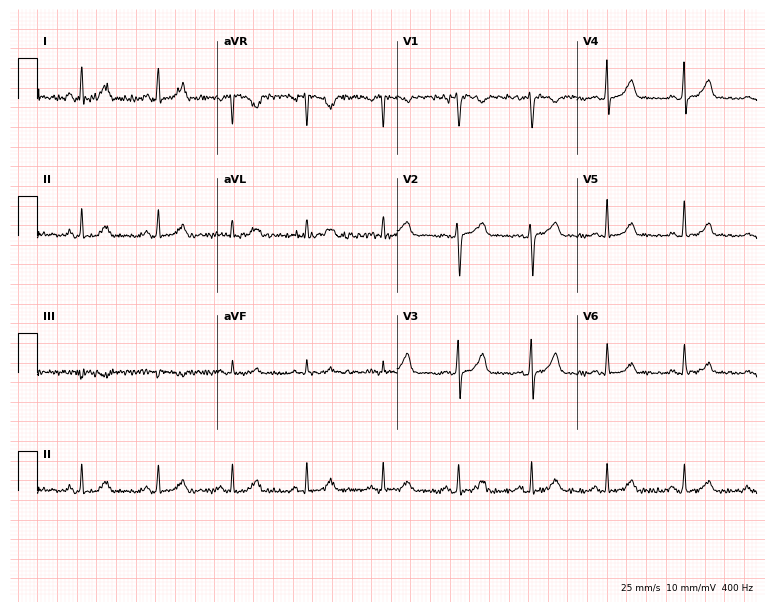
Standard 12-lead ECG recorded from a male patient, 39 years old. None of these six findings is recorded: first-degree AV block, right bundle branch block (RBBB), left bundle branch block (LBBB), sinus bradycardia, atrial fibrillation (AF), sinus tachycardia. Findings outside these six are not listed.